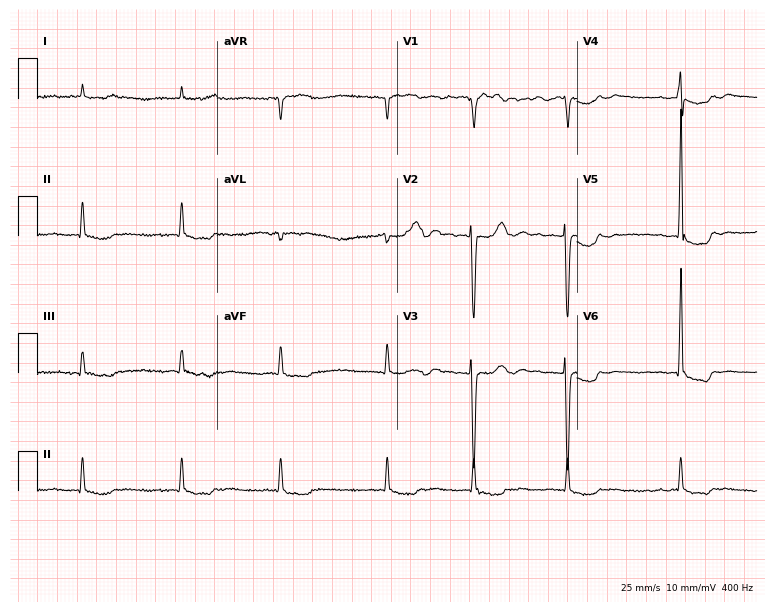
Electrocardiogram, a 79-year-old female. Of the six screened findings (first-degree AV block, right bundle branch block, left bundle branch block, sinus bradycardia, atrial fibrillation, sinus tachycardia), none is recorded. Only these six findings were labelled.